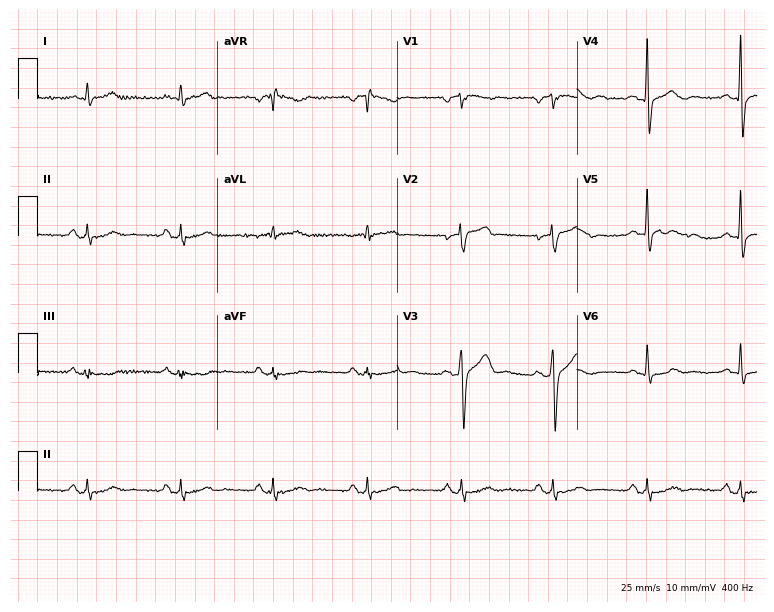
Standard 12-lead ECG recorded from a 53-year-old male patient (7.3-second recording at 400 Hz). Read as a normal ECG.